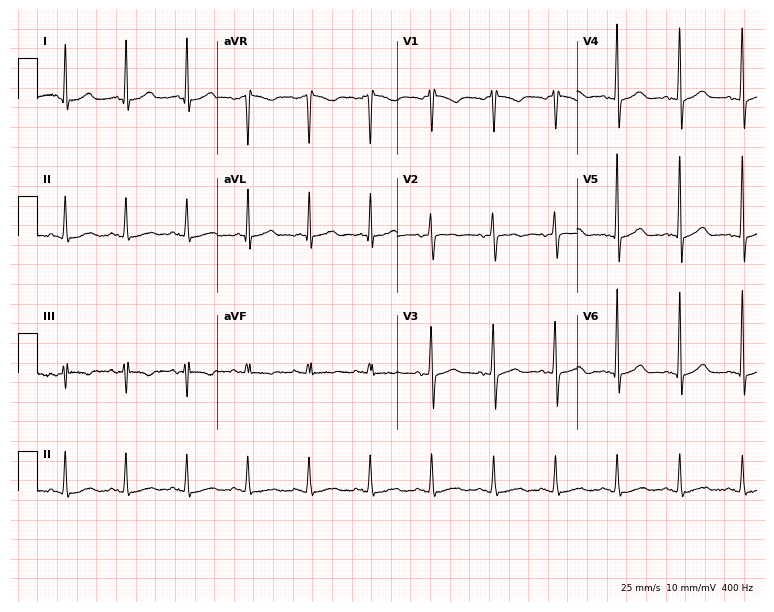
12-lead ECG from a 66-year-old female patient. Labelled as a normal ECG.